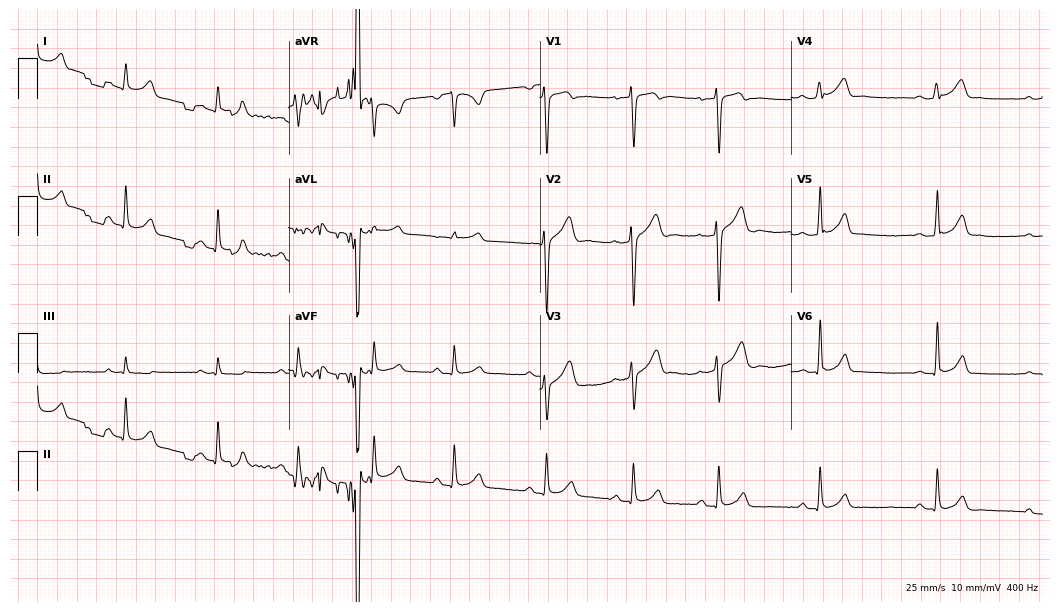
Standard 12-lead ECG recorded from a 25-year-old man. None of these six findings is recorded: first-degree AV block, right bundle branch block (RBBB), left bundle branch block (LBBB), sinus bradycardia, atrial fibrillation (AF), sinus tachycardia.